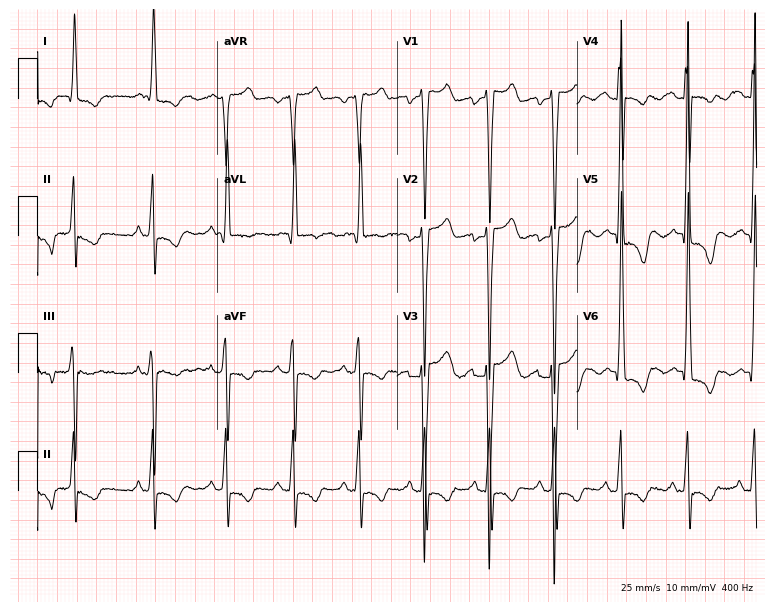
12-lead ECG from a female patient, 63 years old. Screened for six findings — first-degree AV block, right bundle branch block (RBBB), left bundle branch block (LBBB), sinus bradycardia, atrial fibrillation (AF), sinus tachycardia — none is recorded. Other findings, if any, are not listed.